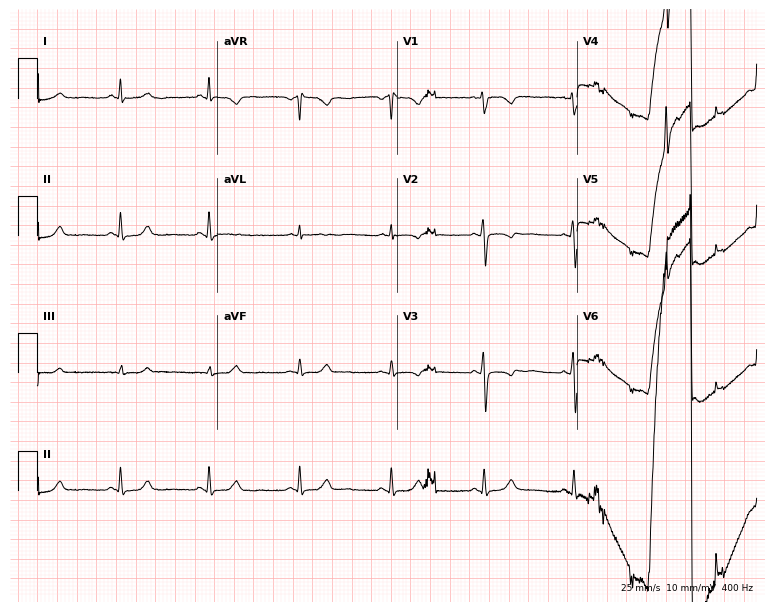
Electrocardiogram (7.3-second recording at 400 Hz), a female patient, 49 years old. Of the six screened findings (first-degree AV block, right bundle branch block, left bundle branch block, sinus bradycardia, atrial fibrillation, sinus tachycardia), none is recorded. Other findings, if any, are not listed.